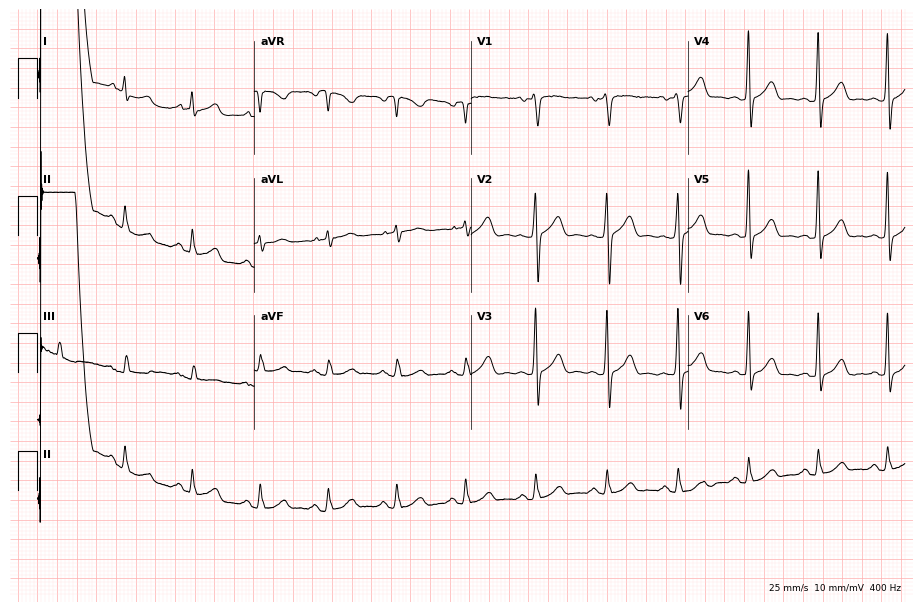
12-lead ECG from a 51-year-old man. Labelled as a normal ECG.